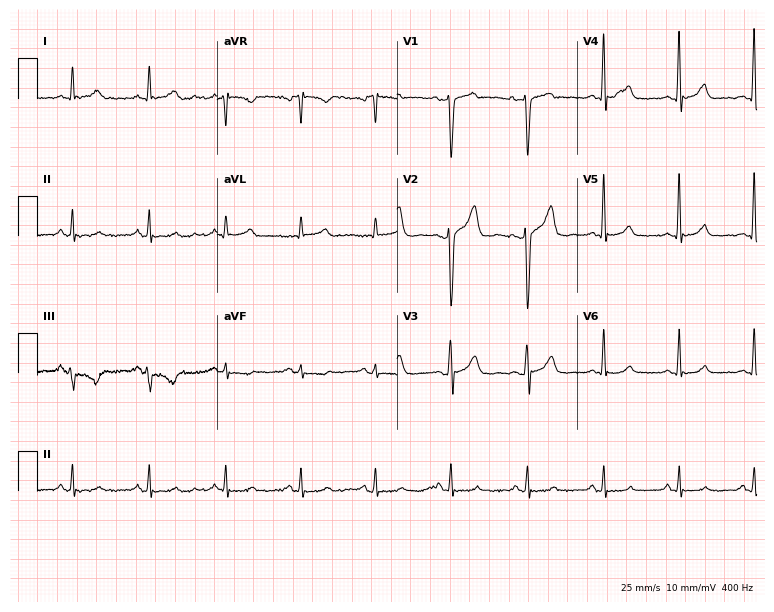
12-lead ECG from a 49-year-old male. Screened for six findings — first-degree AV block, right bundle branch block, left bundle branch block, sinus bradycardia, atrial fibrillation, sinus tachycardia — none is recorded.